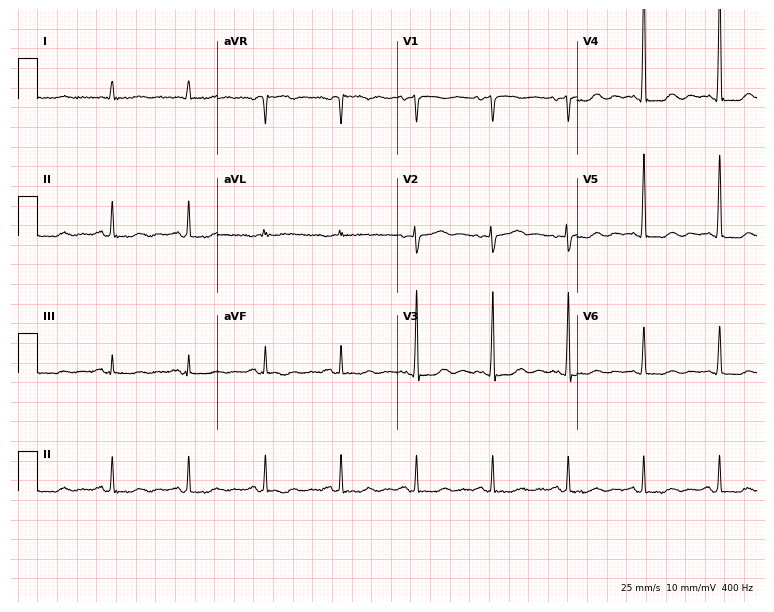
ECG (7.3-second recording at 400 Hz) — a female patient, 85 years old. Labelled as a normal ECG.